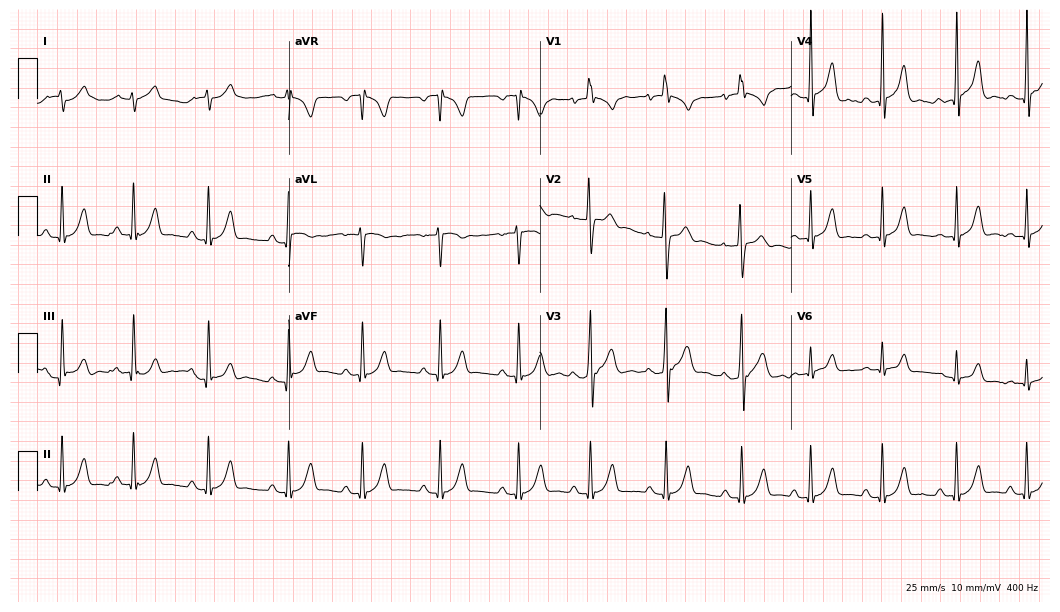
Standard 12-lead ECG recorded from a male, 18 years old. Read as a normal ECG.